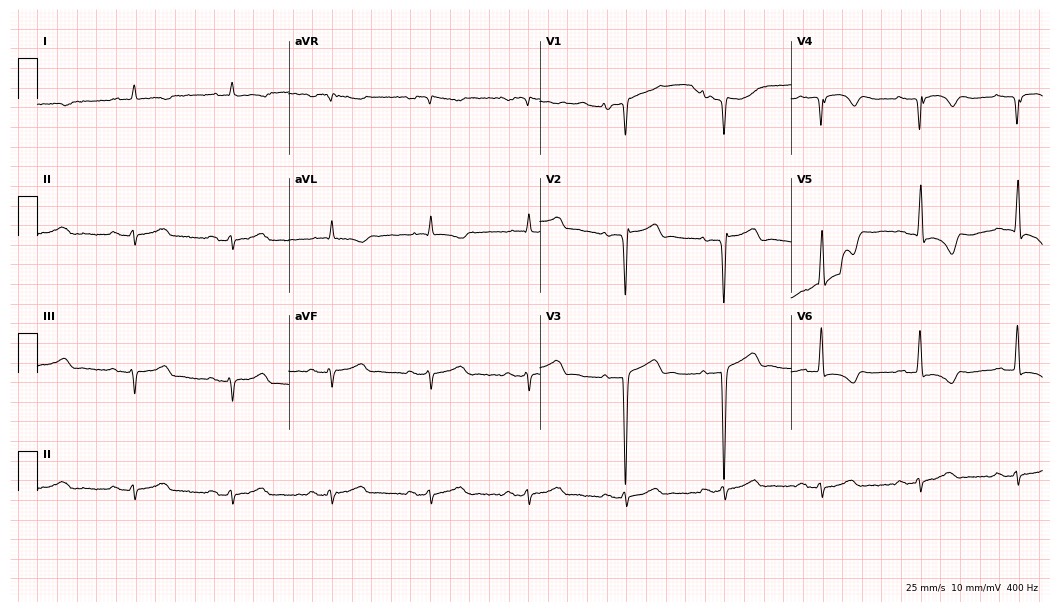
12-lead ECG (10.2-second recording at 400 Hz) from a male patient, 79 years old. Screened for six findings — first-degree AV block, right bundle branch block, left bundle branch block, sinus bradycardia, atrial fibrillation, sinus tachycardia — none is recorded.